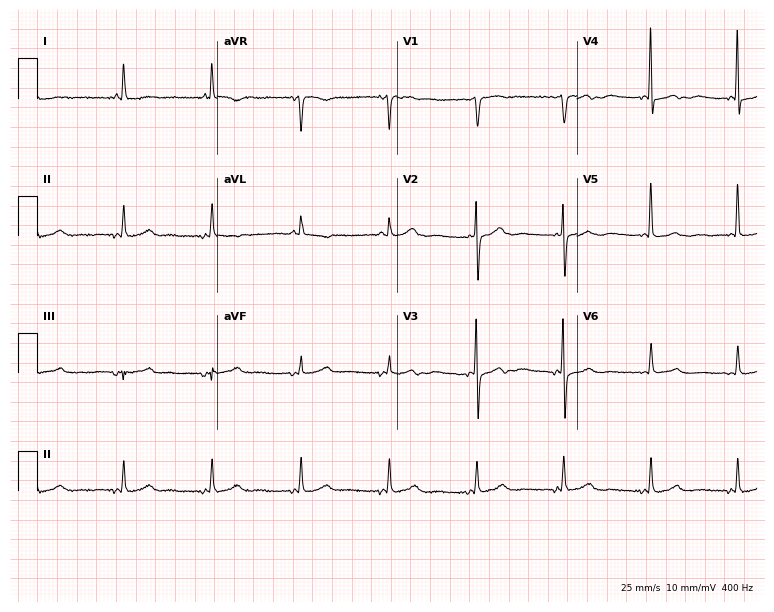
Electrocardiogram, a female, 65 years old. Of the six screened findings (first-degree AV block, right bundle branch block (RBBB), left bundle branch block (LBBB), sinus bradycardia, atrial fibrillation (AF), sinus tachycardia), none is recorded.